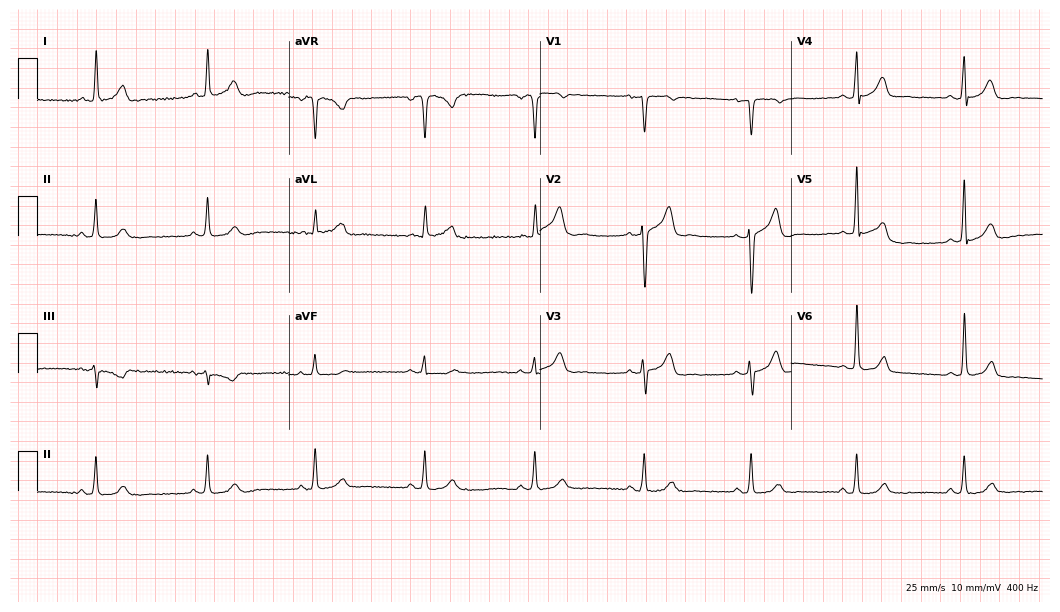
Standard 12-lead ECG recorded from a male, 44 years old (10.2-second recording at 400 Hz). None of these six findings is recorded: first-degree AV block, right bundle branch block (RBBB), left bundle branch block (LBBB), sinus bradycardia, atrial fibrillation (AF), sinus tachycardia.